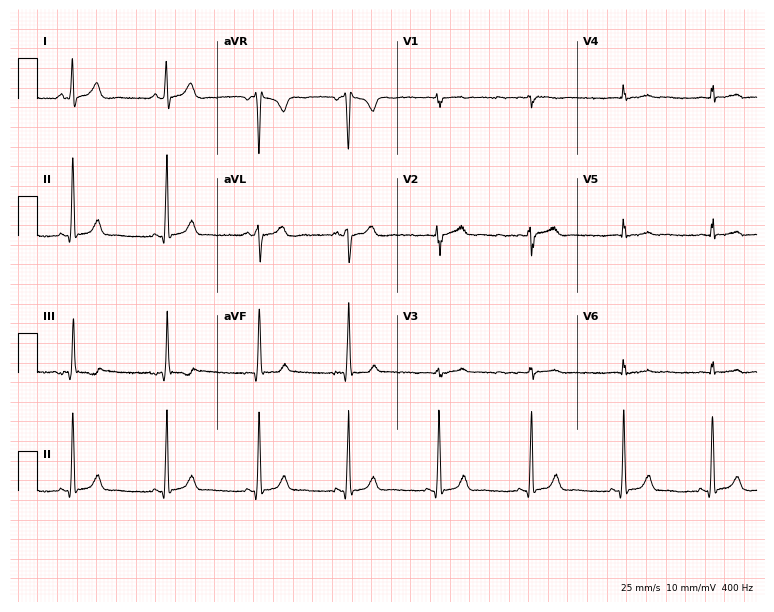
12-lead ECG from a male patient, 25 years old (7.3-second recording at 400 Hz). No first-degree AV block, right bundle branch block (RBBB), left bundle branch block (LBBB), sinus bradycardia, atrial fibrillation (AF) or sinus tachycardia recorded for this tracing.